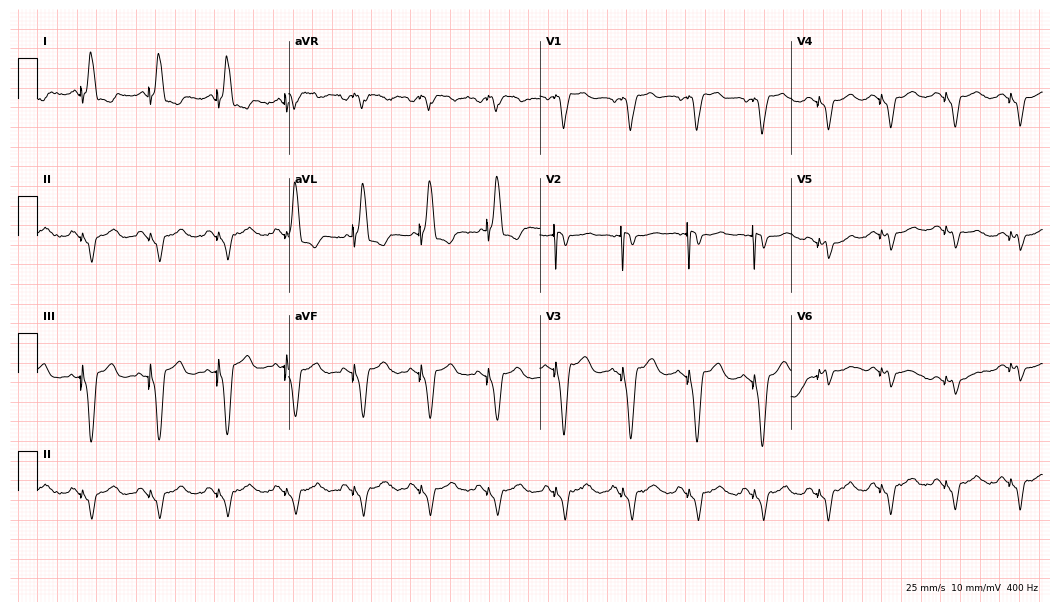
12-lead ECG from a 64-year-old female (10.2-second recording at 400 Hz). No first-degree AV block, right bundle branch block (RBBB), left bundle branch block (LBBB), sinus bradycardia, atrial fibrillation (AF) or sinus tachycardia recorded for this tracing. Only these six findings were labelled.